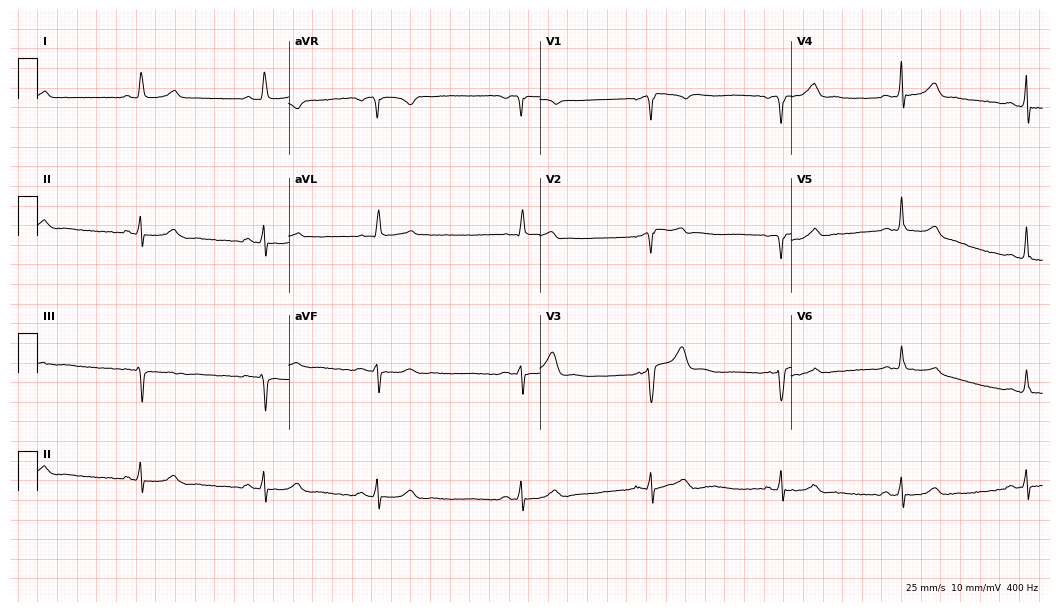
Electrocardiogram, a male patient, 62 years old. Interpretation includes sinus bradycardia (a sinus rate of 50 beats per minute or less).